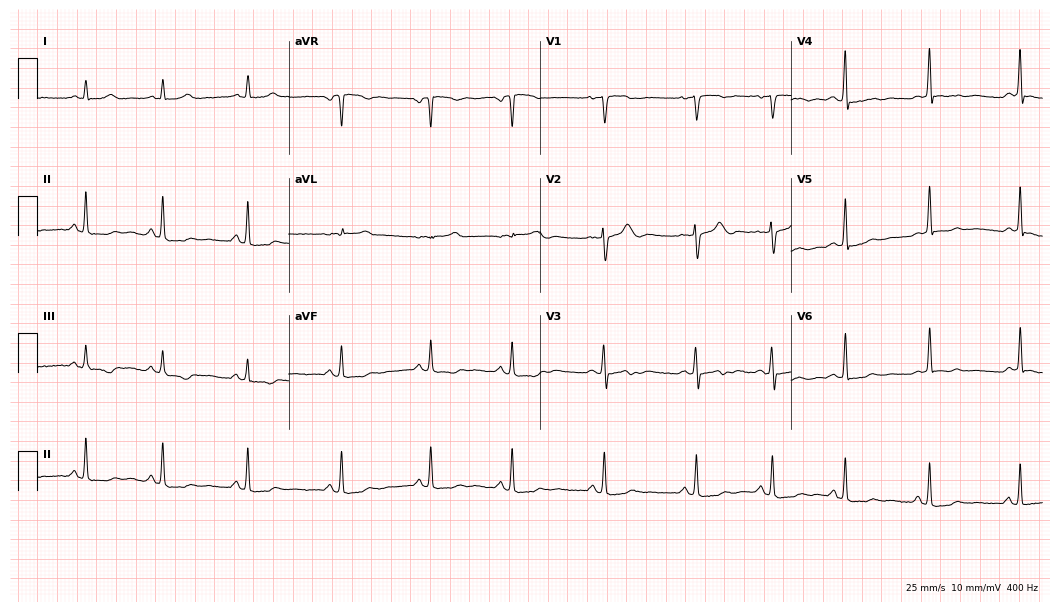
Electrocardiogram, a 17-year-old female. Of the six screened findings (first-degree AV block, right bundle branch block, left bundle branch block, sinus bradycardia, atrial fibrillation, sinus tachycardia), none is recorded. Findings outside these six are not listed.